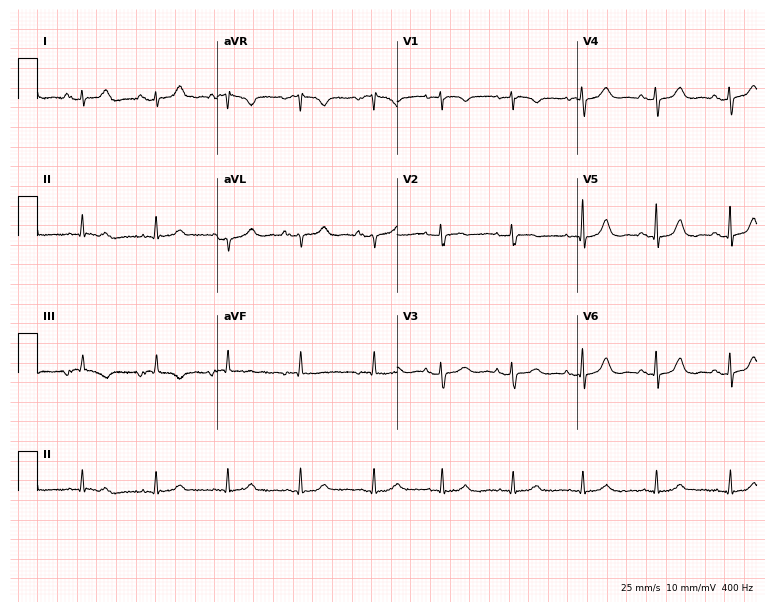
12-lead ECG from an 83-year-old woman (7.3-second recording at 400 Hz). Recorded interpretation: within normal limits.